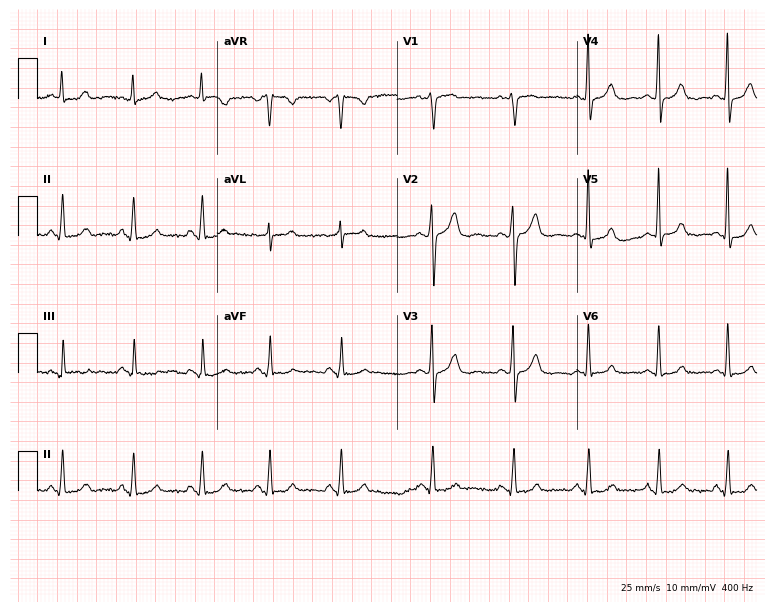
Standard 12-lead ECG recorded from a 46-year-old male. Read as a normal ECG.